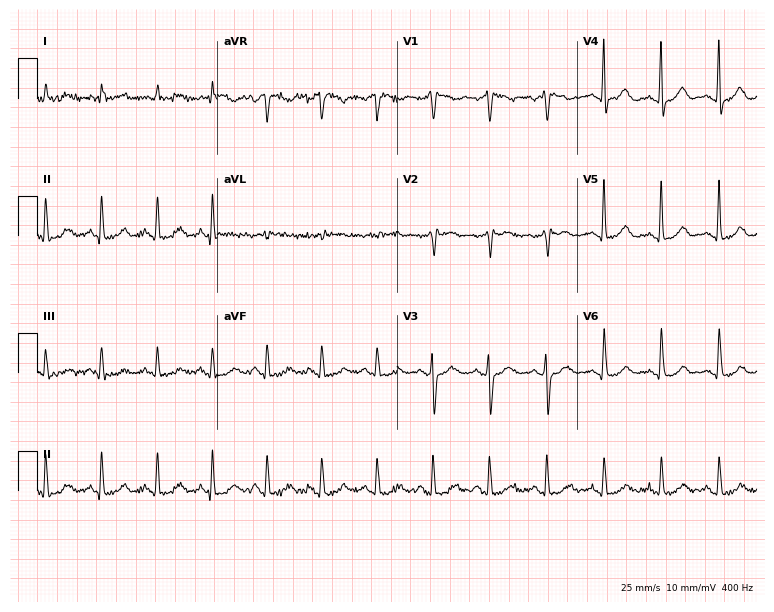
Electrocardiogram (7.3-second recording at 400 Hz), a female, 62 years old. Interpretation includes sinus tachycardia (a sinus rate of 100 beats per minute or more).